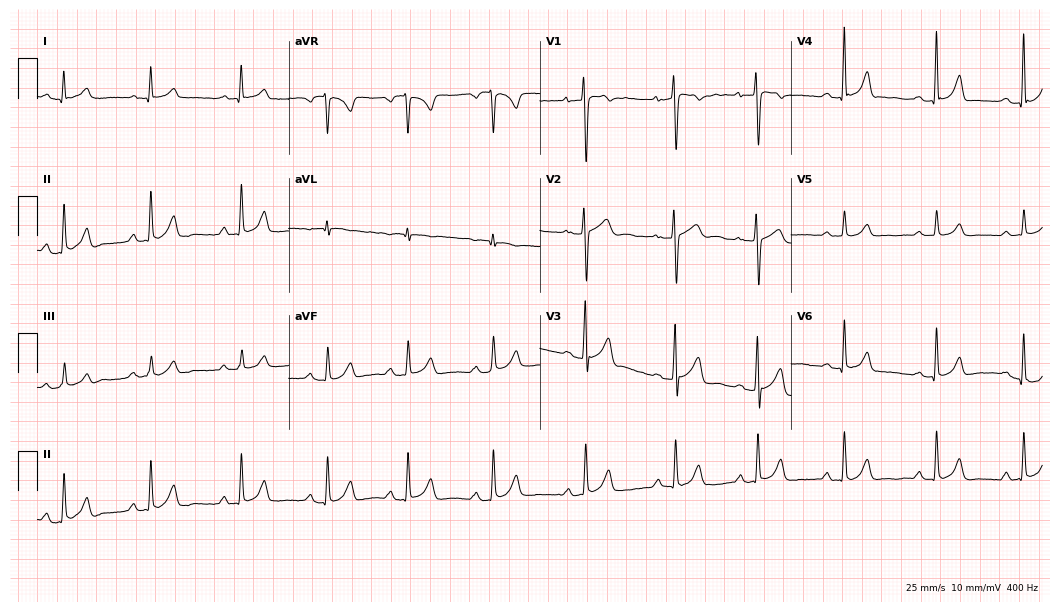
Electrocardiogram, a female patient, 26 years old. Overall reading on record: normal ECG.